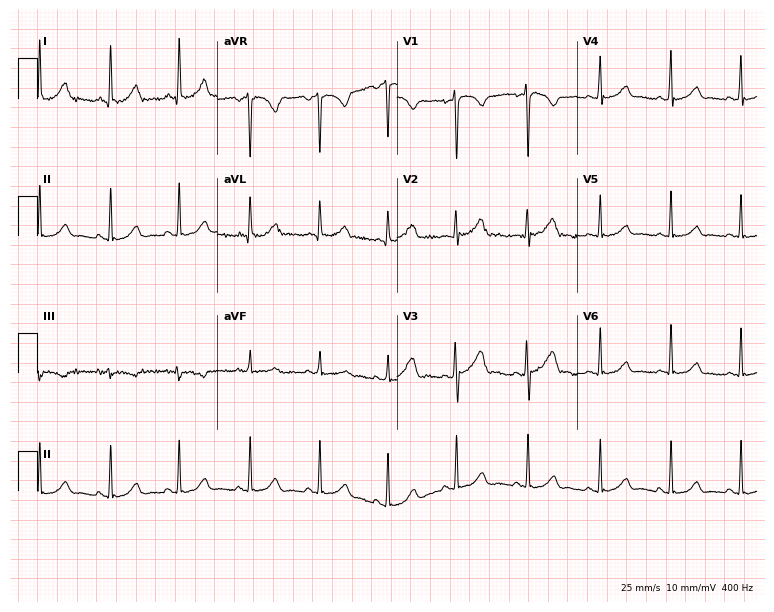
12-lead ECG from a 28-year-old female. No first-degree AV block, right bundle branch block, left bundle branch block, sinus bradycardia, atrial fibrillation or sinus tachycardia recorded for this tracing. Findings outside these six are not listed.